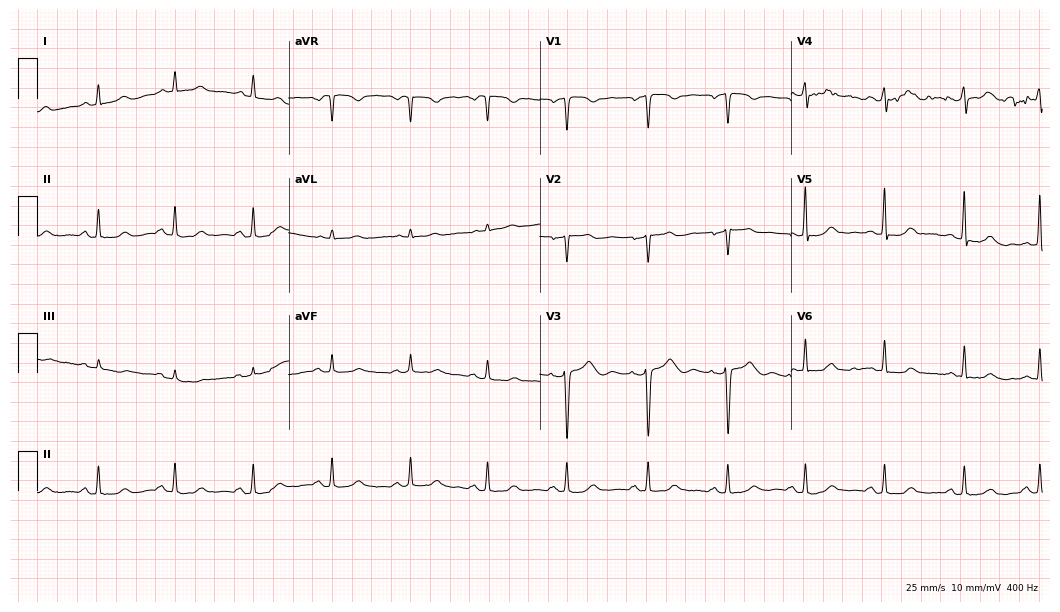
Standard 12-lead ECG recorded from a 37-year-old woman. None of these six findings is recorded: first-degree AV block, right bundle branch block, left bundle branch block, sinus bradycardia, atrial fibrillation, sinus tachycardia.